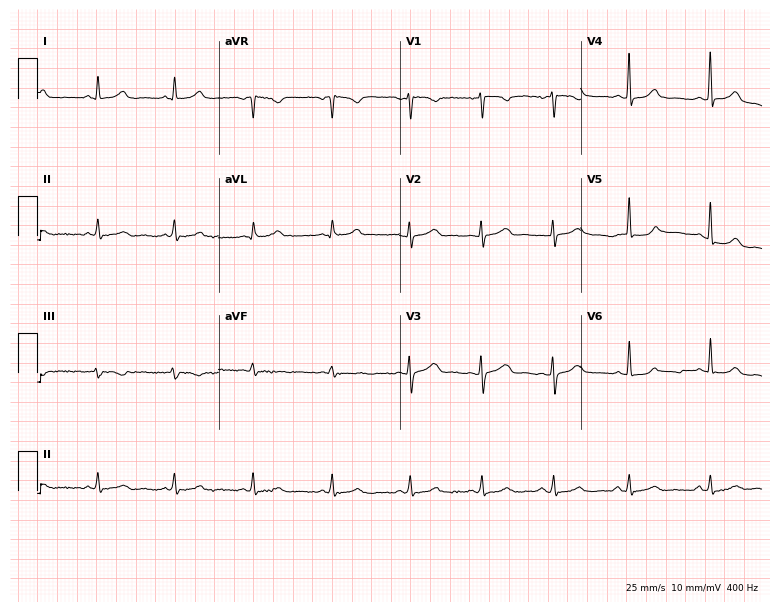
ECG (7.4-second recording at 400 Hz) — a female patient, 36 years old. Screened for six findings — first-degree AV block, right bundle branch block (RBBB), left bundle branch block (LBBB), sinus bradycardia, atrial fibrillation (AF), sinus tachycardia — none is recorded.